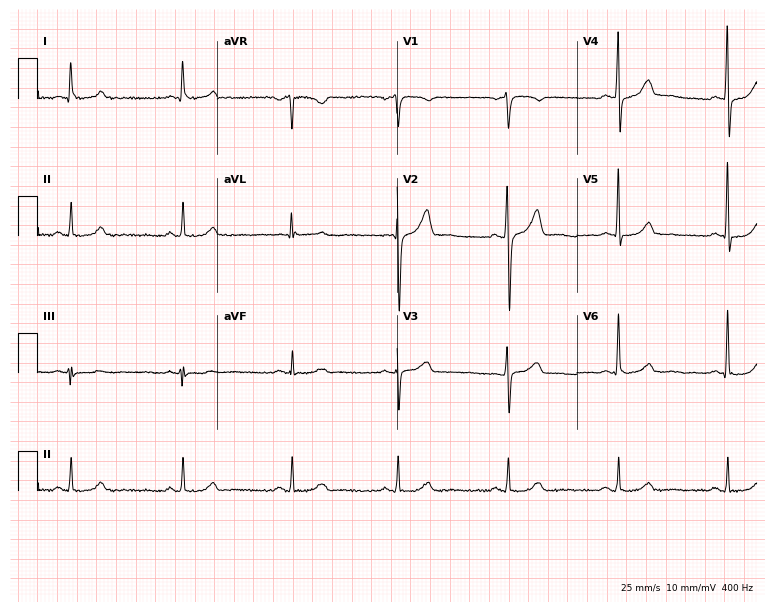
ECG — a 49-year-old male patient. Screened for six findings — first-degree AV block, right bundle branch block, left bundle branch block, sinus bradycardia, atrial fibrillation, sinus tachycardia — none is recorded.